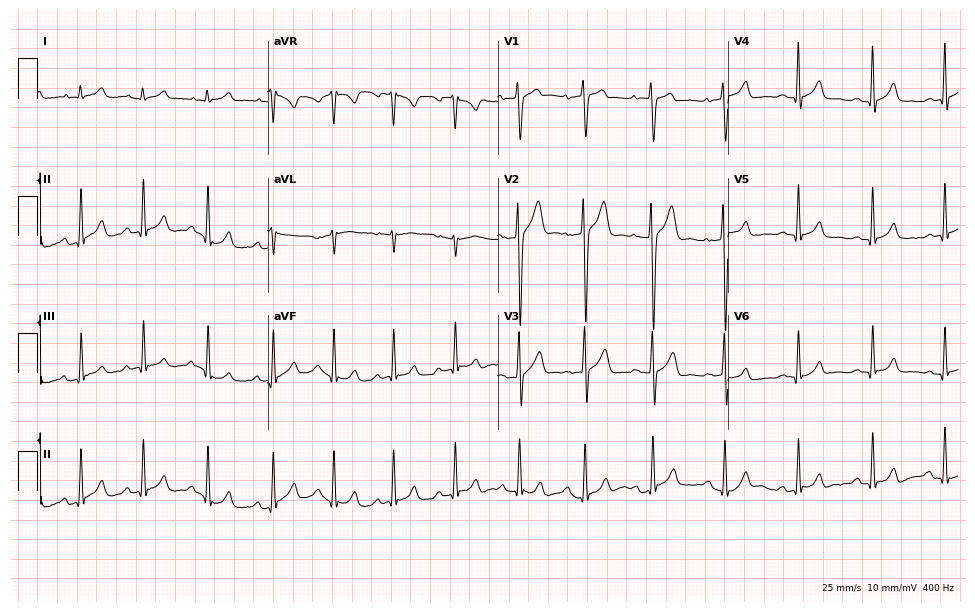
ECG (9.4-second recording at 400 Hz) — a 21-year-old male patient. Labelled as a normal ECG.